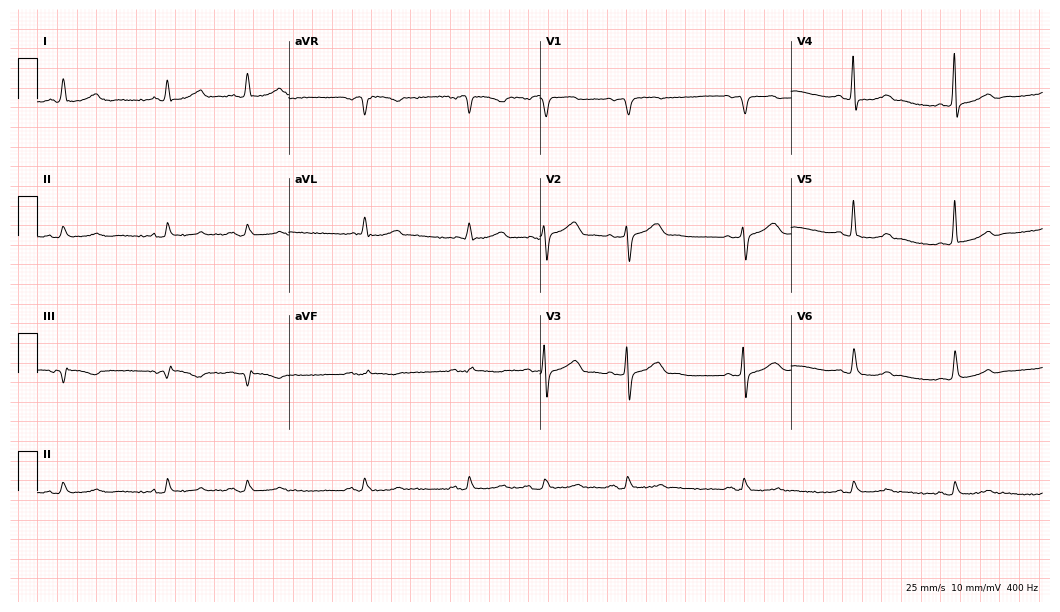
Resting 12-lead electrocardiogram (10.2-second recording at 400 Hz). Patient: a female, 66 years old. Read as a normal ECG.